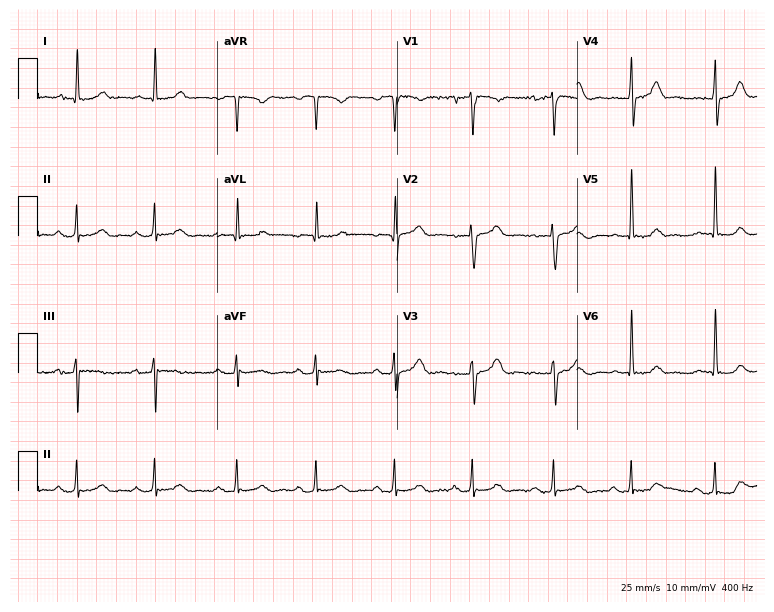
12-lead ECG from a female patient, 78 years old (7.3-second recording at 400 Hz). No first-degree AV block, right bundle branch block, left bundle branch block, sinus bradycardia, atrial fibrillation or sinus tachycardia recorded for this tracing.